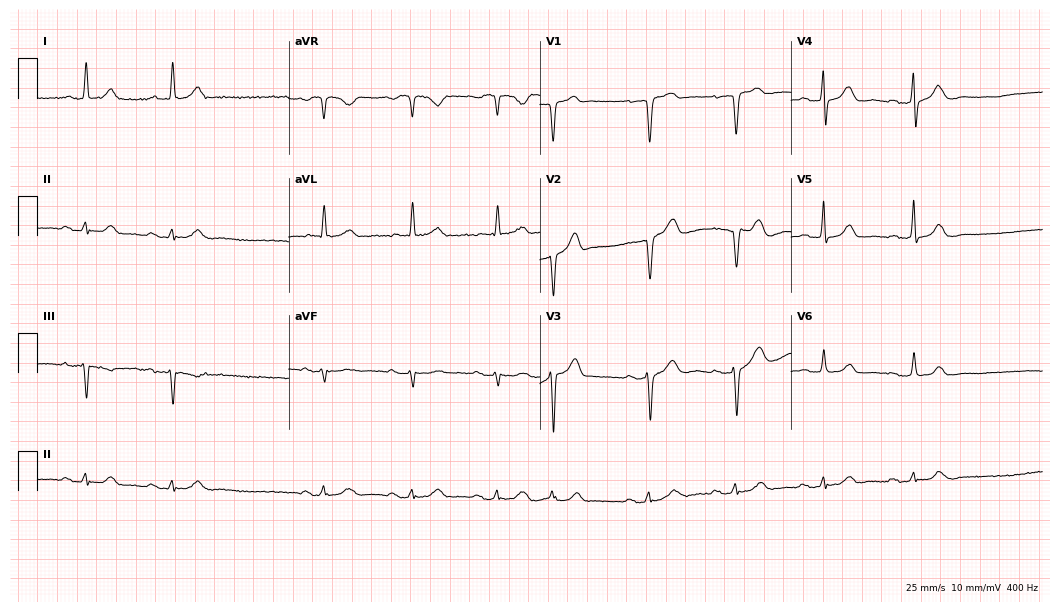
12-lead ECG (10.2-second recording at 400 Hz) from an 80-year-old male patient. Labelled as a normal ECG.